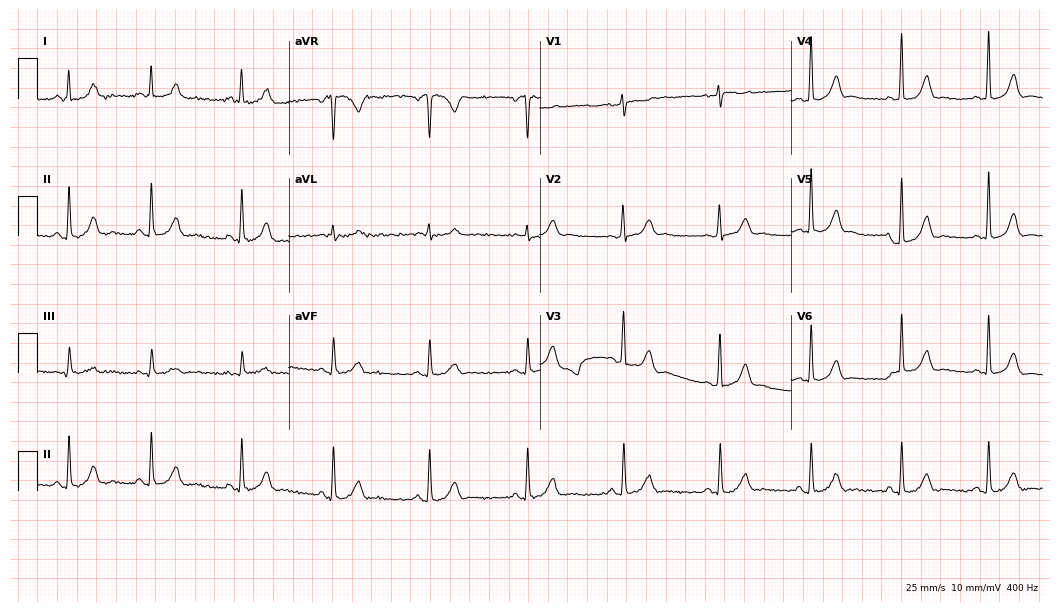
12-lead ECG (10.2-second recording at 400 Hz) from a woman, 35 years old. Labelled as a normal ECG.